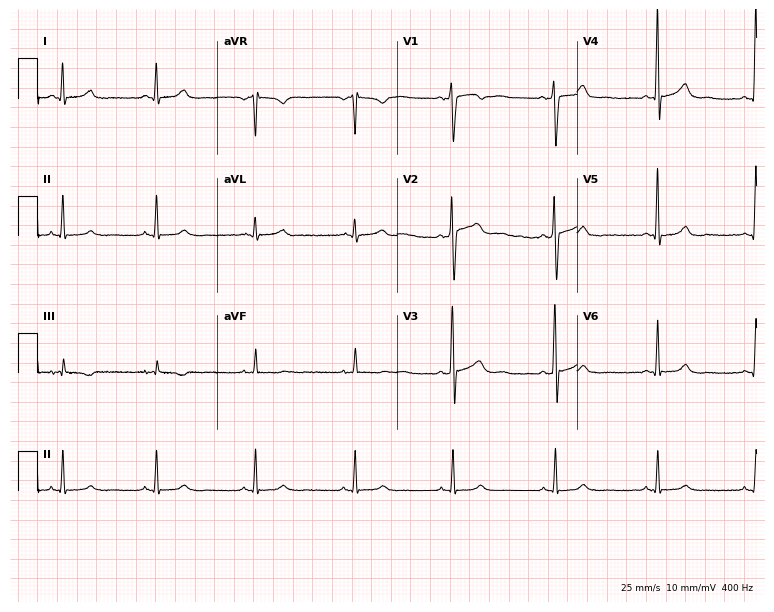
Standard 12-lead ECG recorded from a man, 43 years old. Read as a normal ECG.